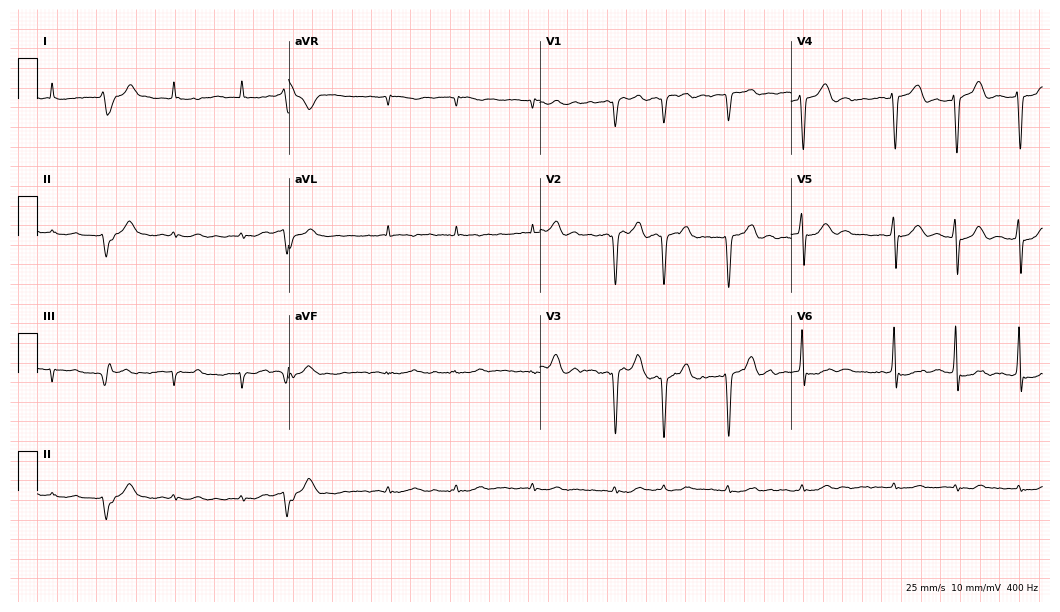
Standard 12-lead ECG recorded from an 82-year-old man (10.2-second recording at 400 Hz). The tracing shows atrial fibrillation (AF).